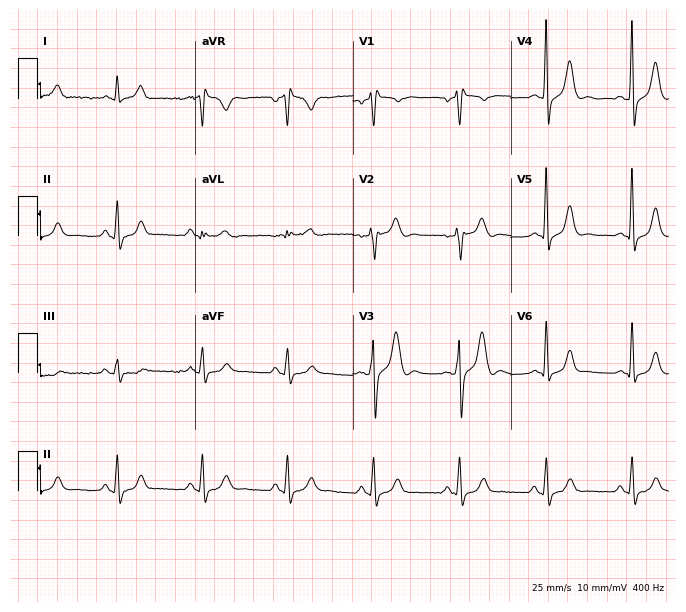
12-lead ECG from a male patient, 51 years old. No first-degree AV block, right bundle branch block (RBBB), left bundle branch block (LBBB), sinus bradycardia, atrial fibrillation (AF) or sinus tachycardia recorded for this tracing. Only these six findings were labelled.